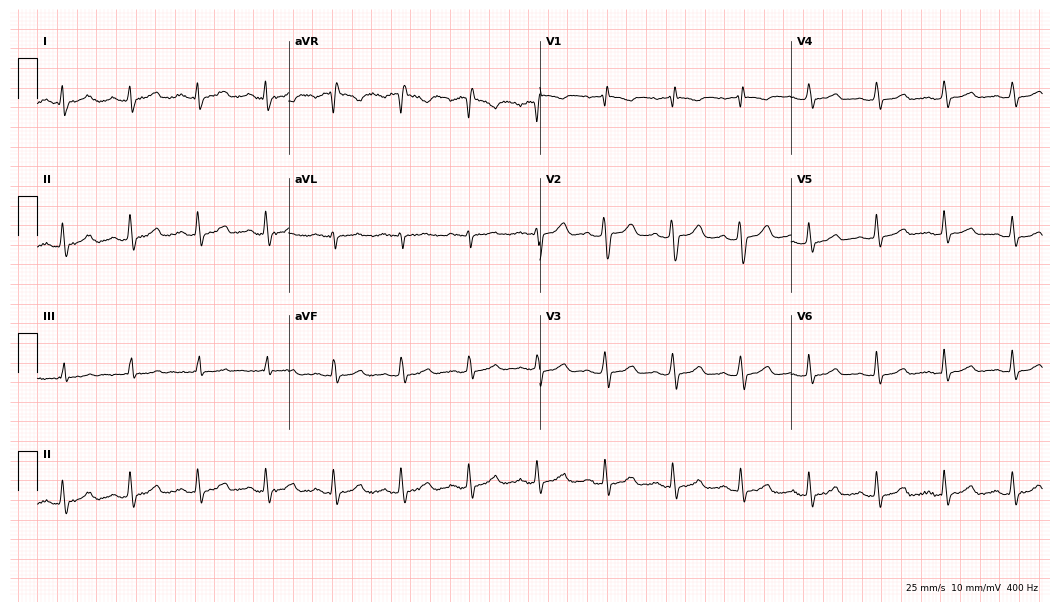
Resting 12-lead electrocardiogram. Patient: a 47-year-old woman. Read as a normal ECG.